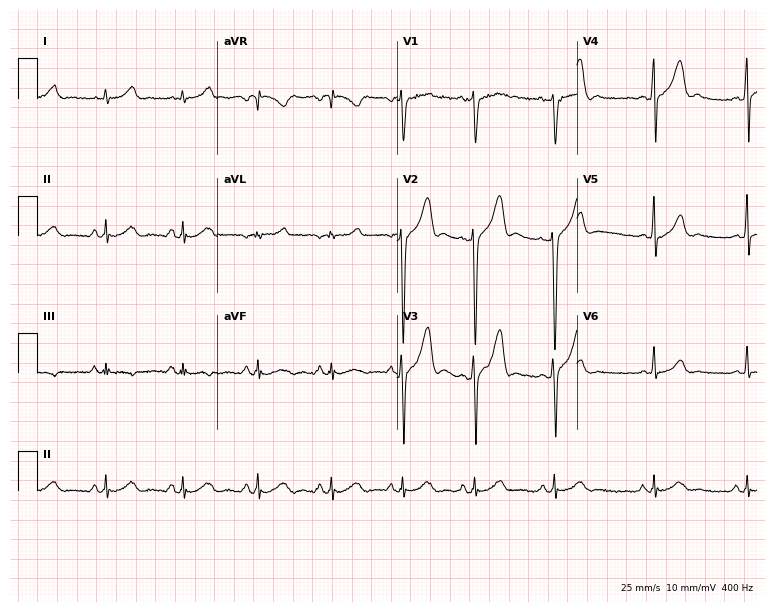
Resting 12-lead electrocardiogram (7.3-second recording at 400 Hz). Patient: a 31-year-old male. None of these six findings is recorded: first-degree AV block, right bundle branch block, left bundle branch block, sinus bradycardia, atrial fibrillation, sinus tachycardia. Other findings, if any, are not listed.